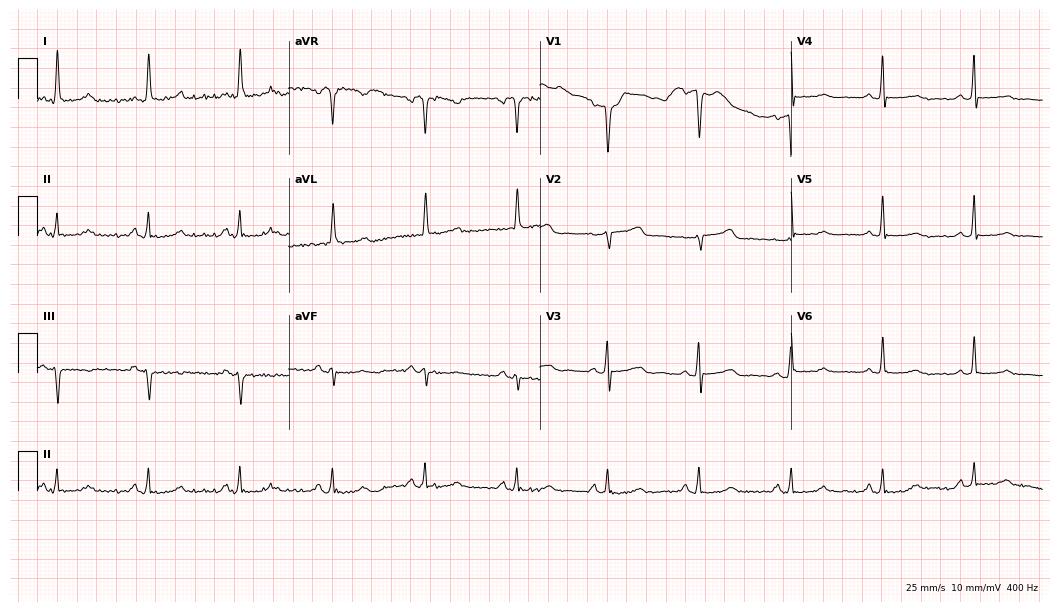
Standard 12-lead ECG recorded from a 78-year-old female patient (10.2-second recording at 400 Hz). None of these six findings is recorded: first-degree AV block, right bundle branch block, left bundle branch block, sinus bradycardia, atrial fibrillation, sinus tachycardia.